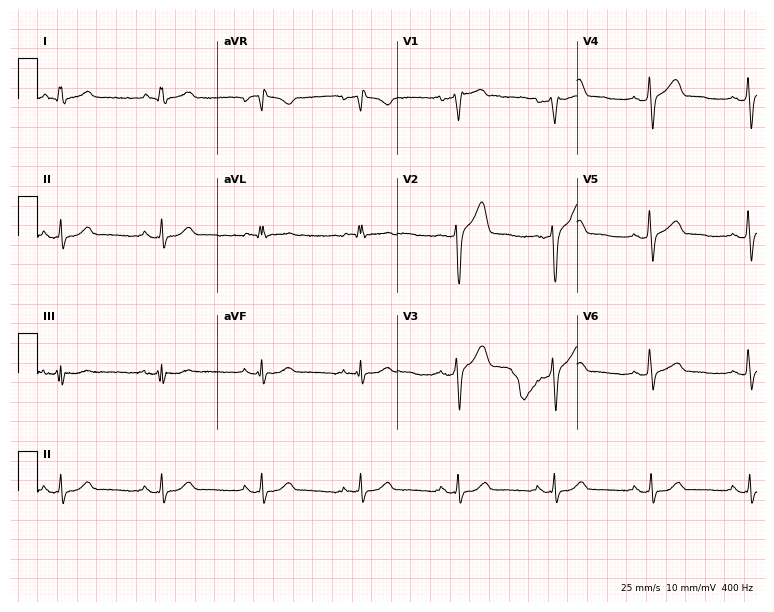
12-lead ECG from a male, 44 years old. Screened for six findings — first-degree AV block, right bundle branch block, left bundle branch block, sinus bradycardia, atrial fibrillation, sinus tachycardia — none is recorded. Findings outside these six are not listed.